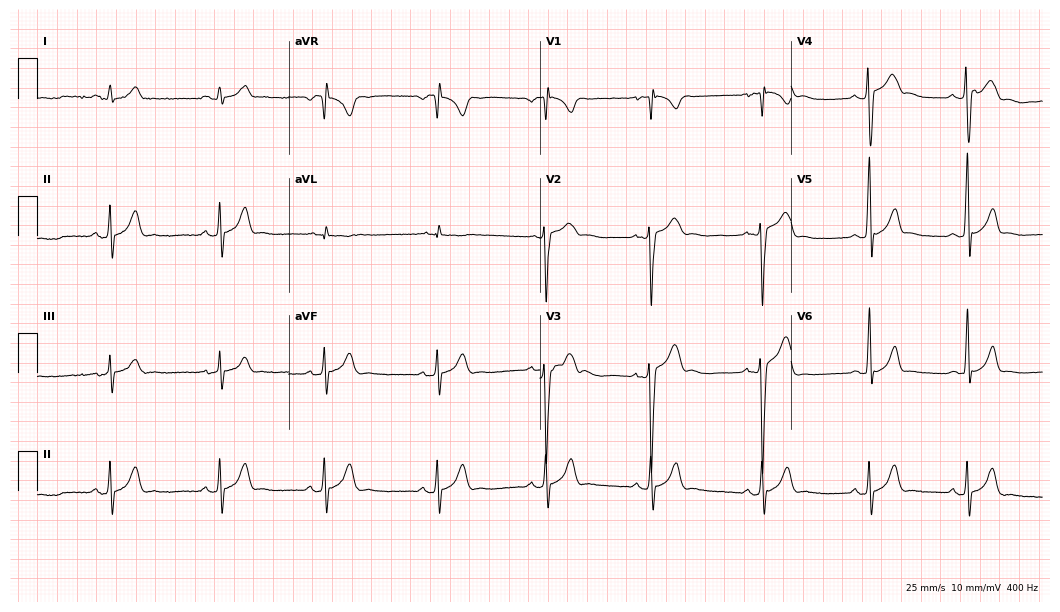
ECG — a 20-year-old man. Labelled as a normal ECG.